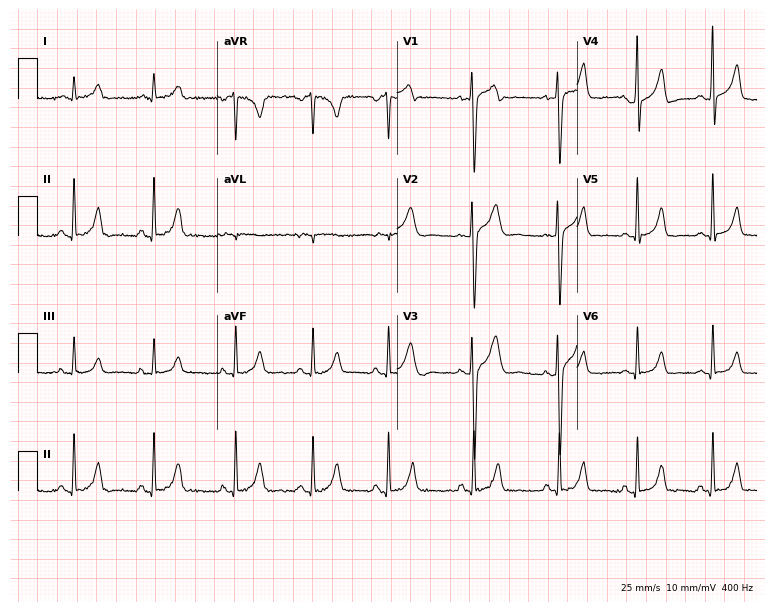
ECG (7.3-second recording at 400 Hz) — a 22-year-old male patient. Labelled as a normal ECG.